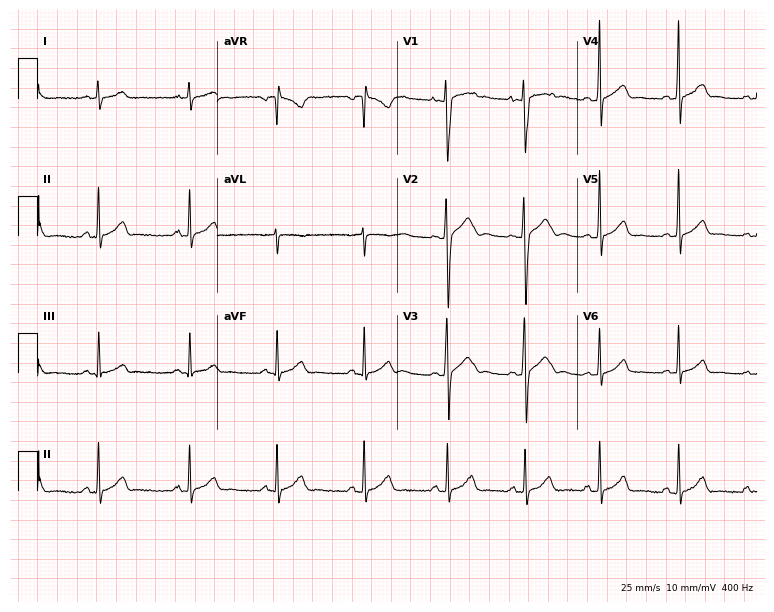
Resting 12-lead electrocardiogram (7.3-second recording at 400 Hz). Patient: a male, 21 years old. Read as a normal ECG.